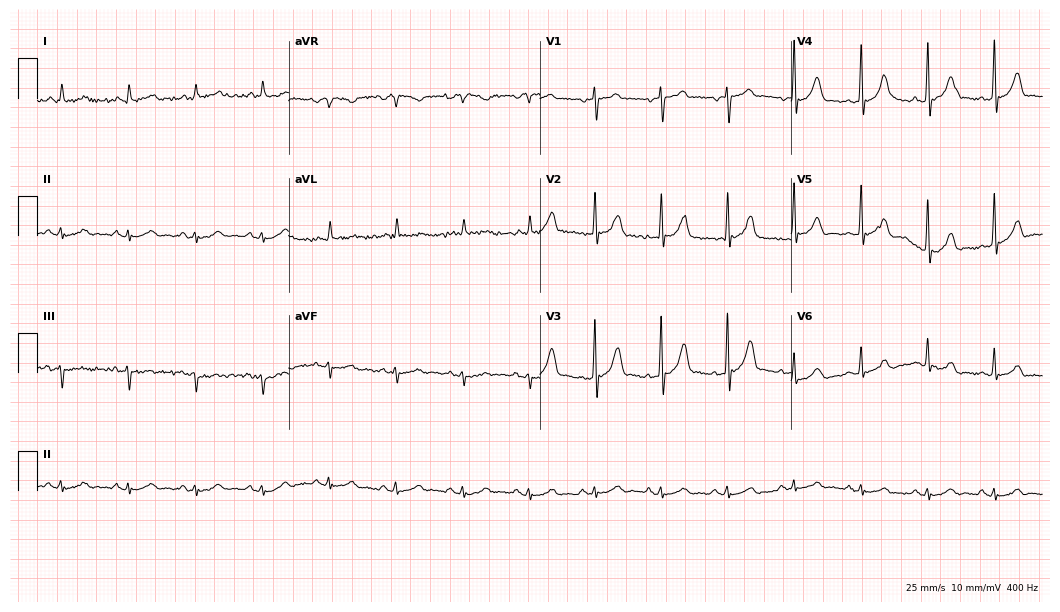
12-lead ECG from an 82-year-old man. No first-degree AV block, right bundle branch block (RBBB), left bundle branch block (LBBB), sinus bradycardia, atrial fibrillation (AF) or sinus tachycardia recorded for this tracing. Only these six findings were labelled.